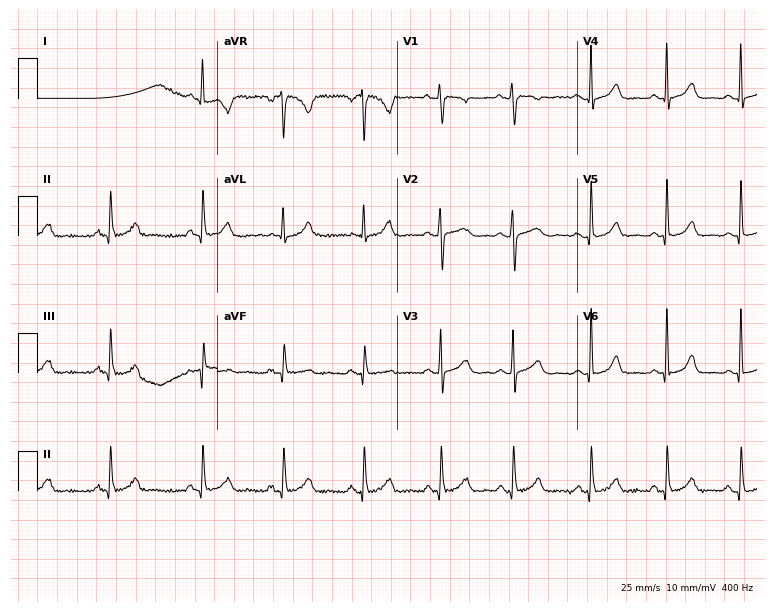
12-lead ECG from a woman, 37 years old. Screened for six findings — first-degree AV block, right bundle branch block (RBBB), left bundle branch block (LBBB), sinus bradycardia, atrial fibrillation (AF), sinus tachycardia — none is recorded. Other findings, if any, are not listed.